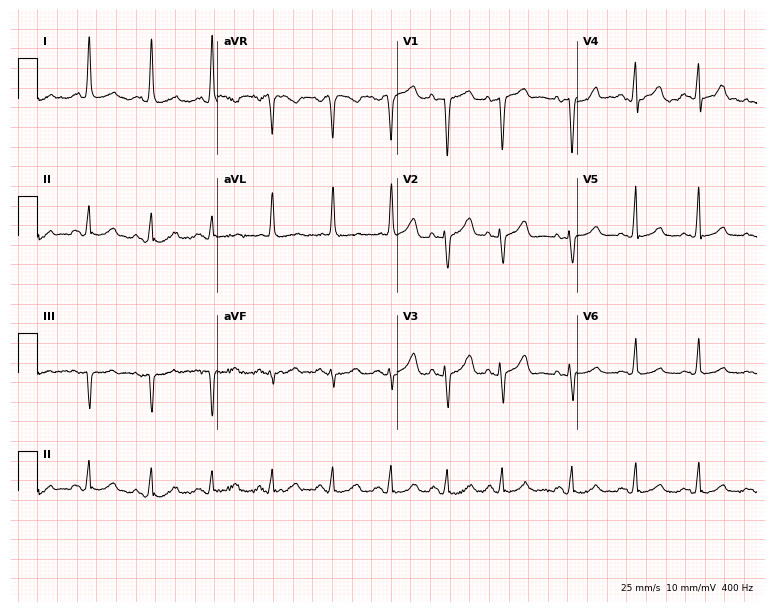
Resting 12-lead electrocardiogram. Patient: a 59-year-old female. Read as a normal ECG.